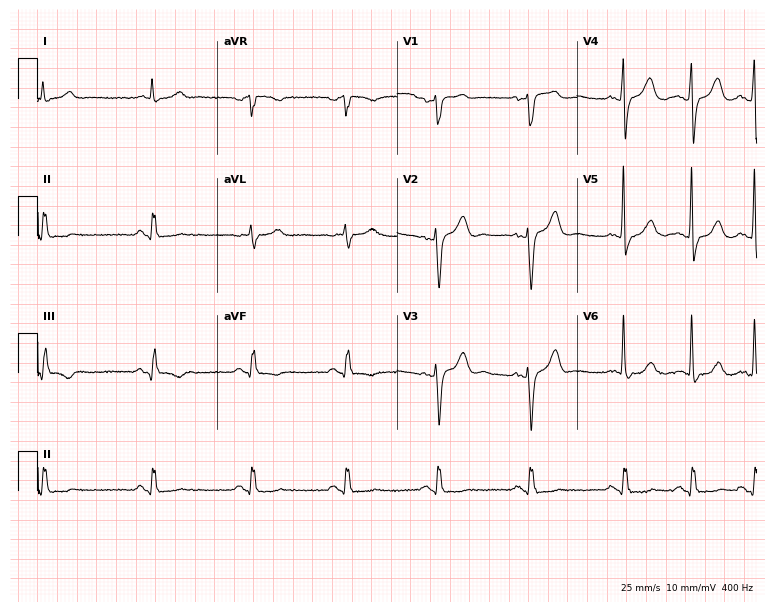
ECG (7.3-second recording at 400 Hz) — a 75-year-old man. Screened for six findings — first-degree AV block, right bundle branch block, left bundle branch block, sinus bradycardia, atrial fibrillation, sinus tachycardia — none is recorded. Other findings, if any, are not listed.